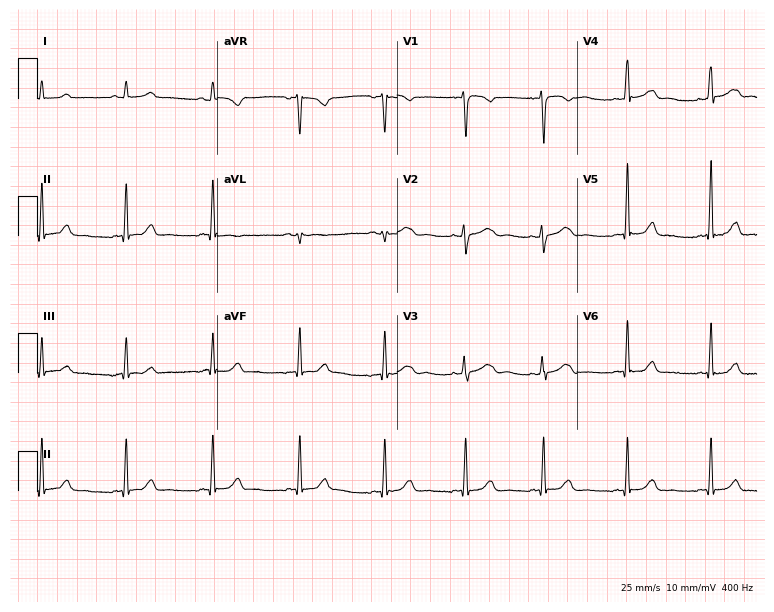
ECG (7.3-second recording at 400 Hz) — a woman, 35 years old. Screened for six findings — first-degree AV block, right bundle branch block, left bundle branch block, sinus bradycardia, atrial fibrillation, sinus tachycardia — none is recorded.